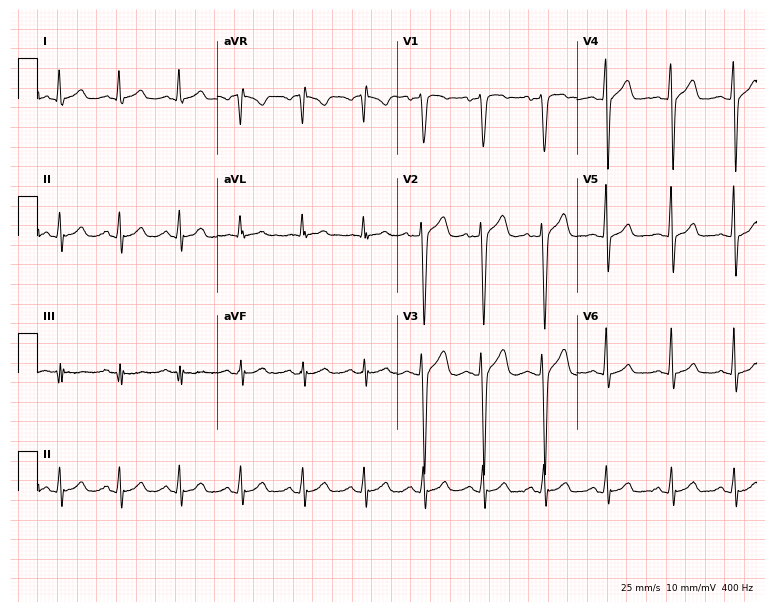
Electrocardiogram, a 24-year-old man. Overall reading on record: normal ECG.